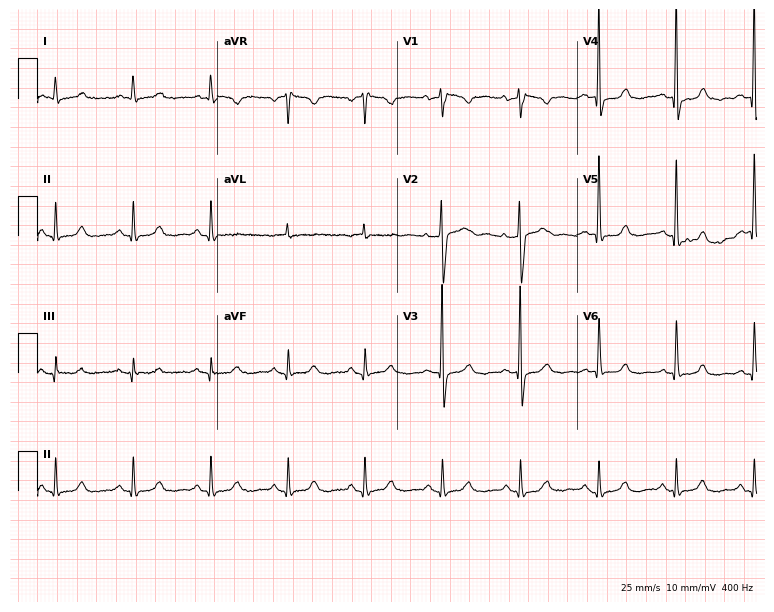
Standard 12-lead ECG recorded from an 81-year-old man. None of these six findings is recorded: first-degree AV block, right bundle branch block (RBBB), left bundle branch block (LBBB), sinus bradycardia, atrial fibrillation (AF), sinus tachycardia.